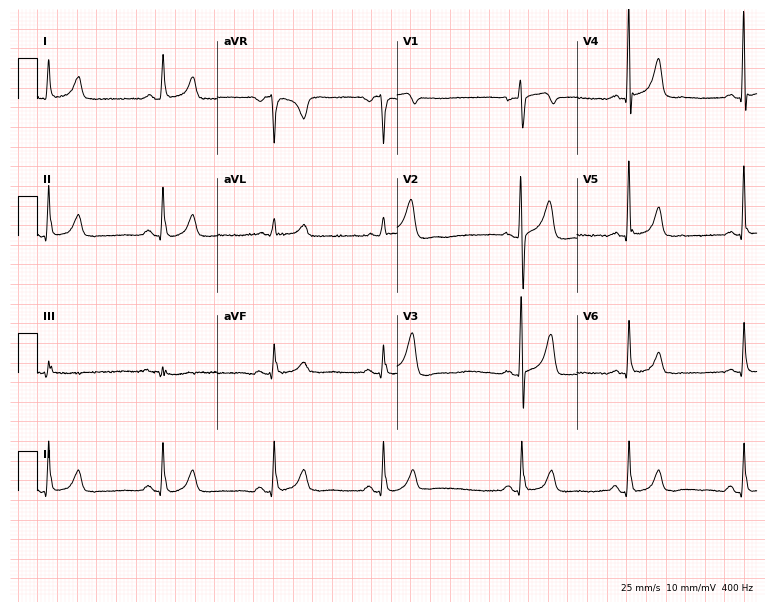
Standard 12-lead ECG recorded from a 78-year-old female patient (7.3-second recording at 400 Hz). None of these six findings is recorded: first-degree AV block, right bundle branch block, left bundle branch block, sinus bradycardia, atrial fibrillation, sinus tachycardia. Only these six findings were labelled.